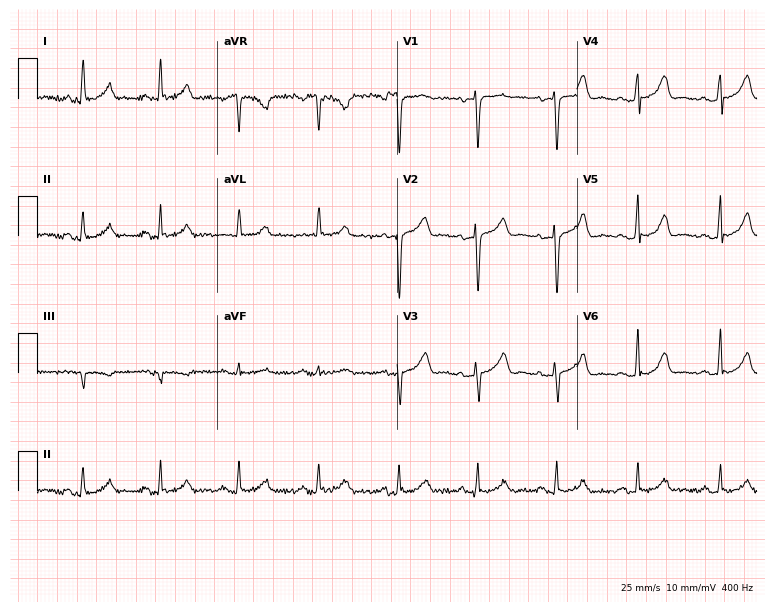
ECG — a 50-year-old woman. Labelled as a normal ECG.